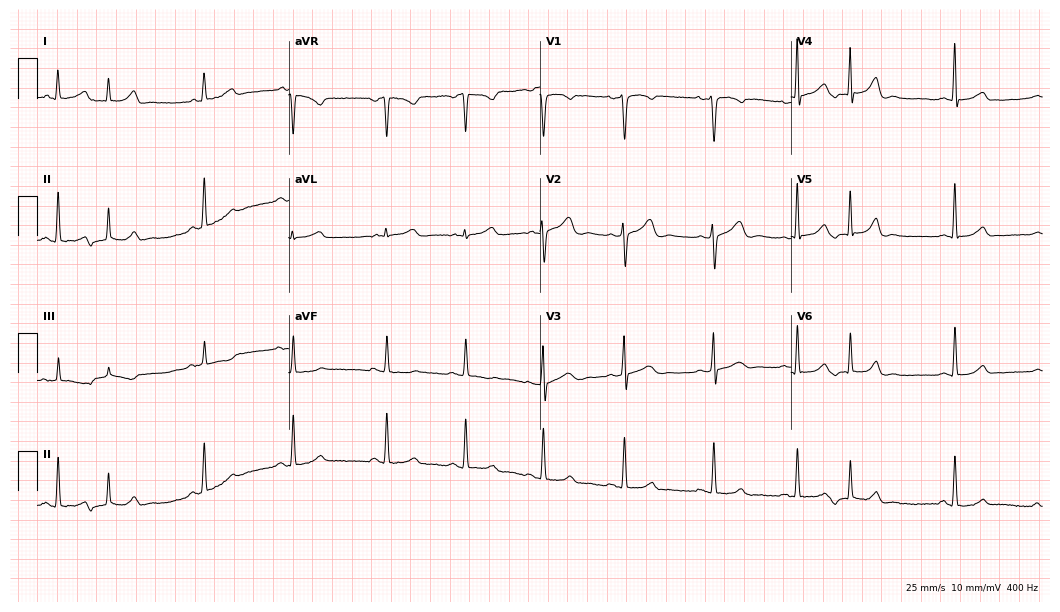
Electrocardiogram (10.2-second recording at 400 Hz), a woman, 25 years old. Of the six screened findings (first-degree AV block, right bundle branch block (RBBB), left bundle branch block (LBBB), sinus bradycardia, atrial fibrillation (AF), sinus tachycardia), none is recorded. Other findings, if any, are not listed.